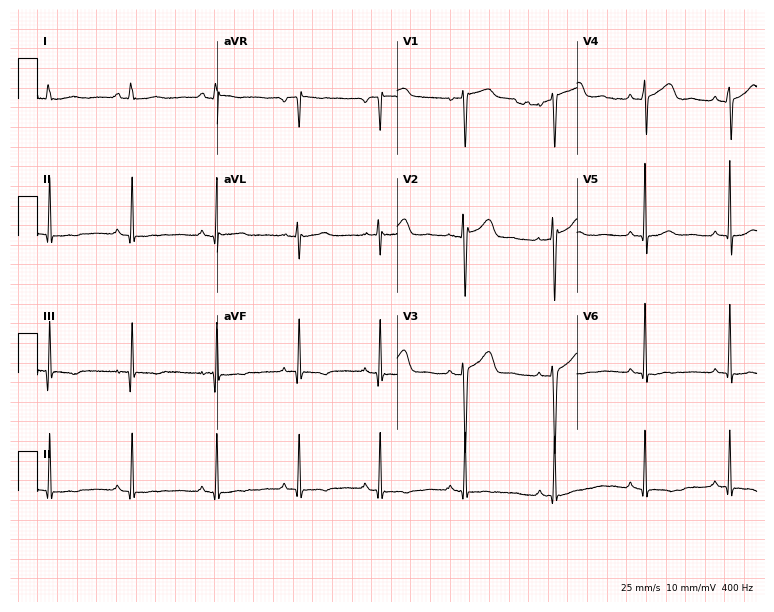
12-lead ECG from a female, 26 years old (7.3-second recording at 400 Hz). No first-degree AV block, right bundle branch block, left bundle branch block, sinus bradycardia, atrial fibrillation or sinus tachycardia recorded for this tracing. Other findings, if any, are not listed.